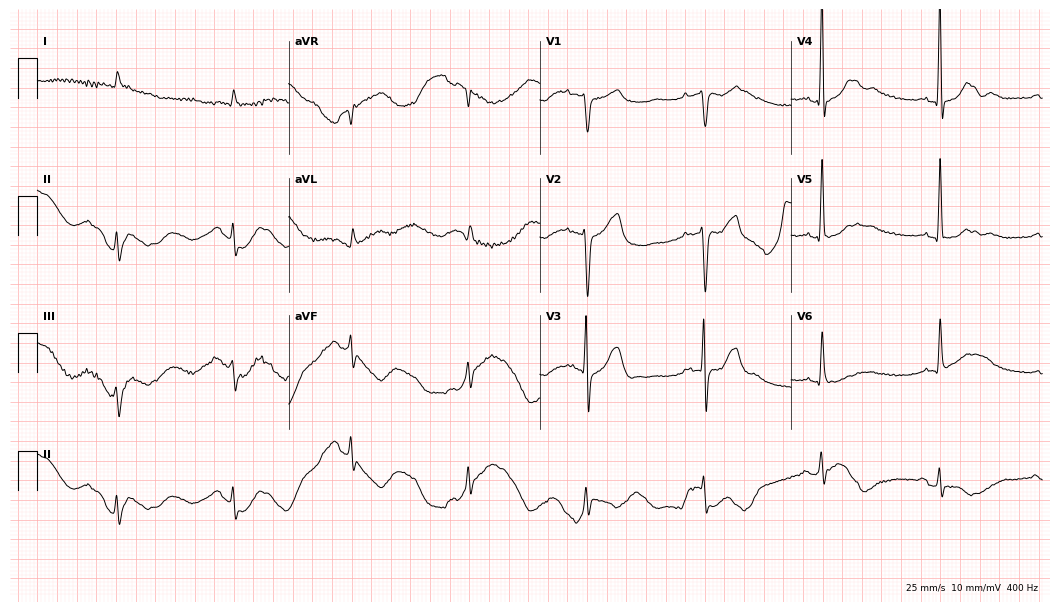
12-lead ECG (10.2-second recording at 400 Hz) from an 84-year-old male patient. Findings include sinus bradycardia (a sinus rate of 50 beats per minute or less).